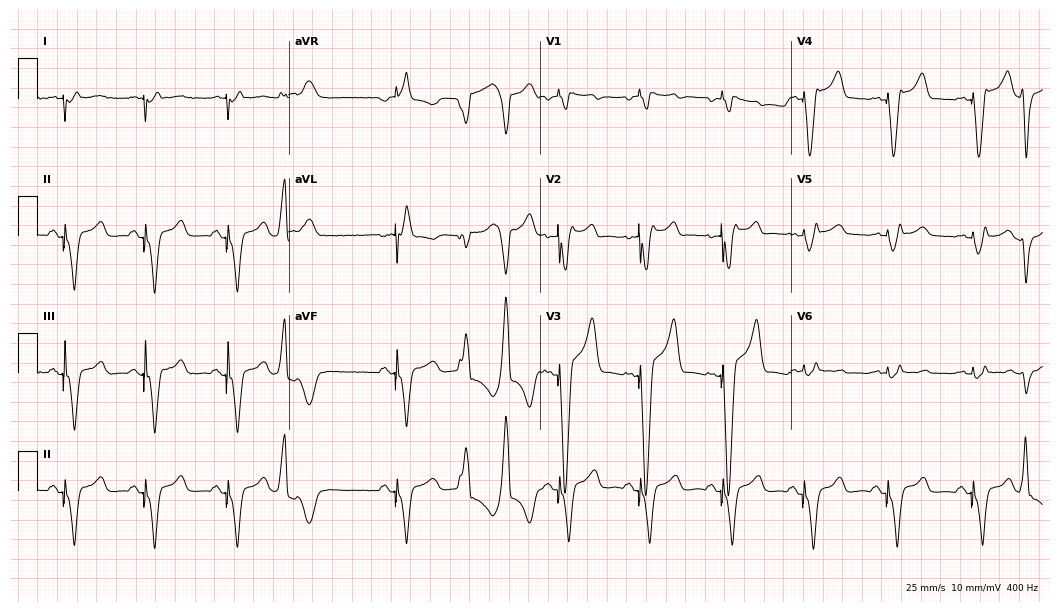
Electrocardiogram, a man, 59 years old. Of the six screened findings (first-degree AV block, right bundle branch block (RBBB), left bundle branch block (LBBB), sinus bradycardia, atrial fibrillation (AF), sinus tachycardia), none is recorded. Only these six findings were labelled.